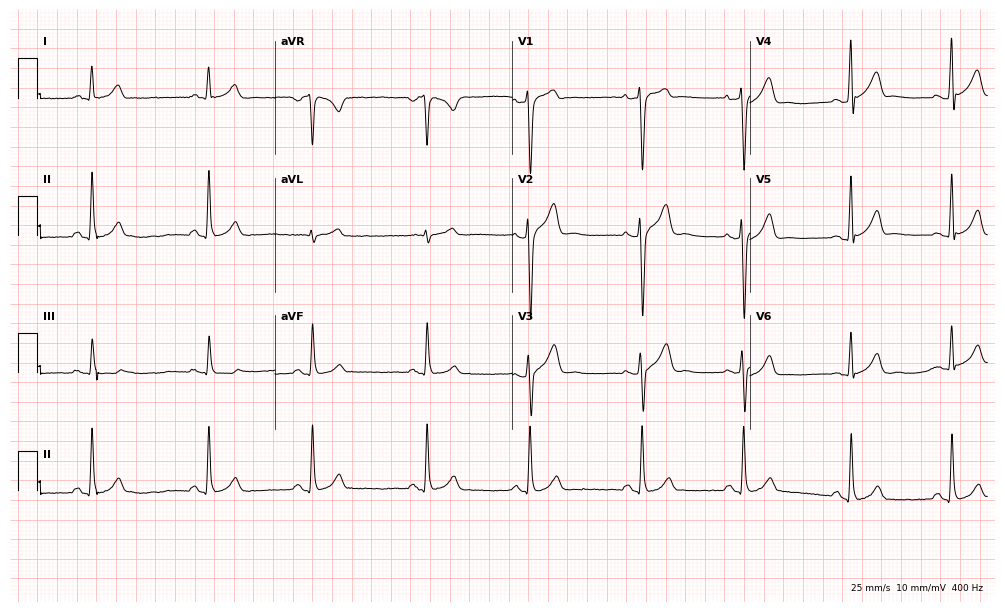
Electrocardiogram, a male patient, 24 years old. Overall reading on record: normal ECG.